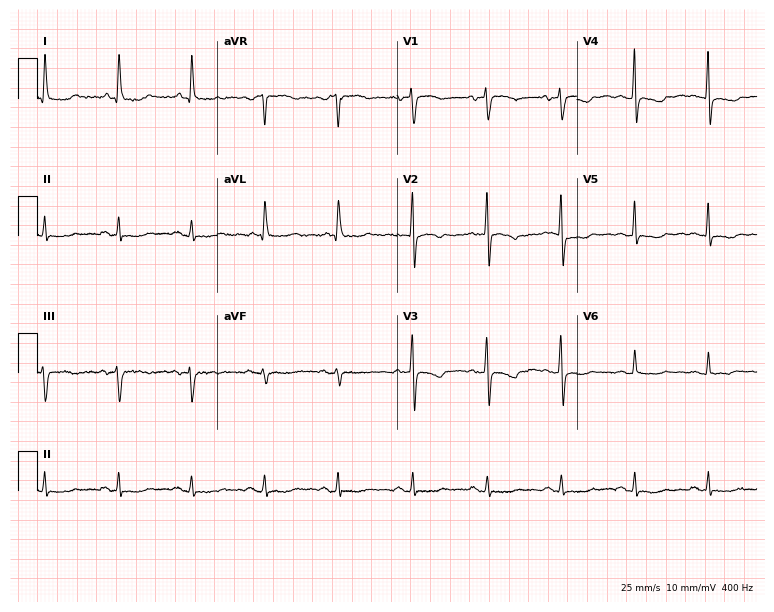
Resting 12-lead electrocardiogram (7.3-second recording at 400 Hz). Patient: a woman, 64 years old. None of these six findings is recorded: first-degree AV block, right bundle branch block, left bundle branch block, sinus bradycardia, atrial fibrillation, sinus tachycardia. Other findings, if any, are not listed.